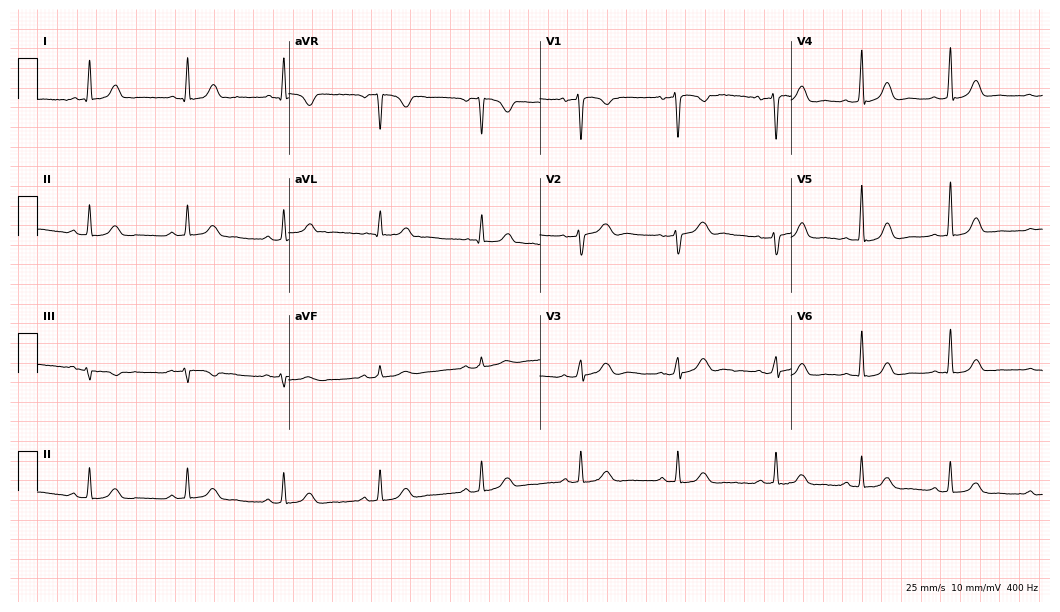
ECG — a female patient, 44 years old. Labelled as a normal ECG.